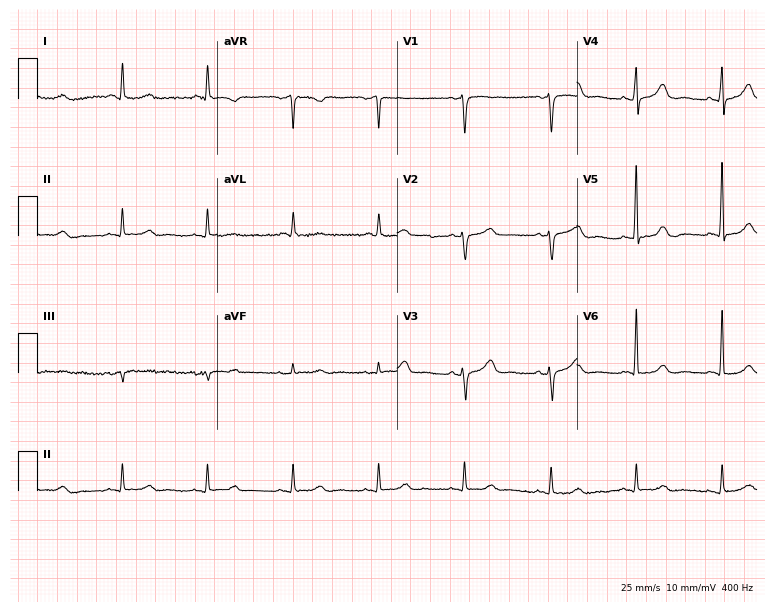
12-lead ECG from a female, 64 years old (7.3-second recording at 400 Hz). Recorded interpretation: within normal limits.